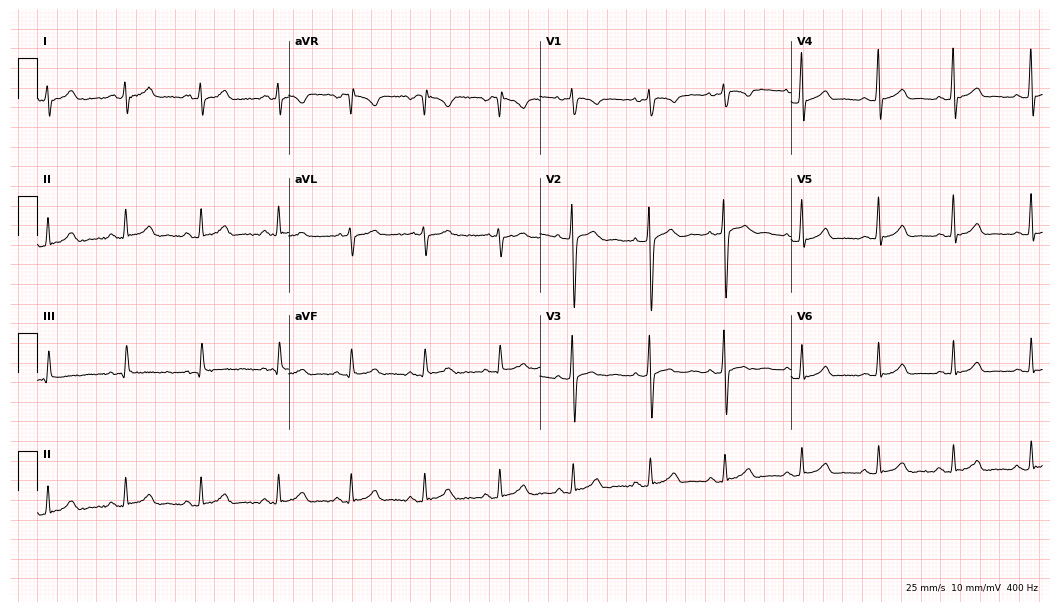
Resting 12-lead electrocardiogram. Patient: a male, 21 years old. Read as a normal ECG.